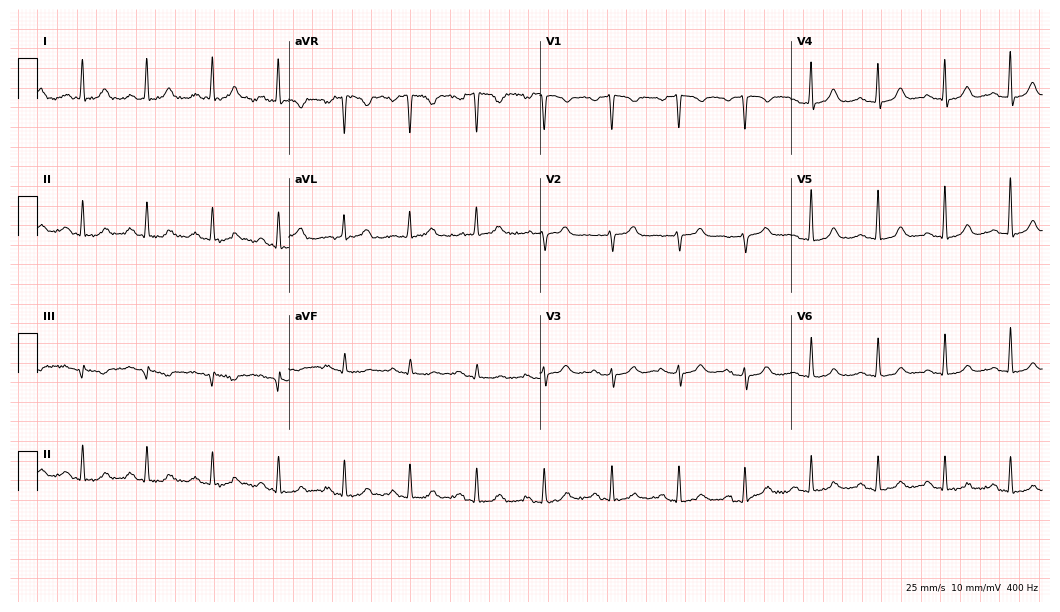
12-lead ECG from a 64-year-old woman (10.2-second recording at 400 Hz). Recorded interpretation: within normal limits.